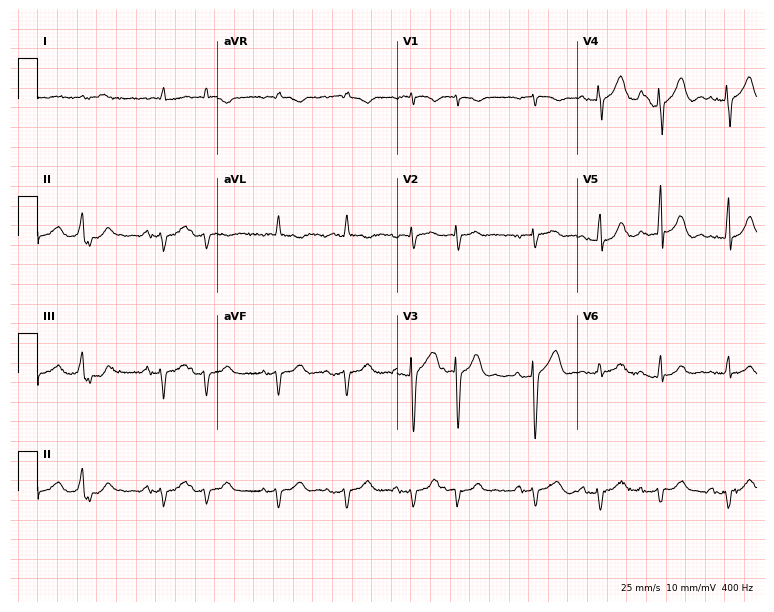
12-lead ECG (7.3-second recording at 400 Hz) from an 85-year-old man. Screened for six findings — first-degree AV block, right bundle branch block (RBBB), left bundle branch block (LBBB), sinus bradycardia, atrial fibrillation (AF), sinus tachycardia — none is recorded.